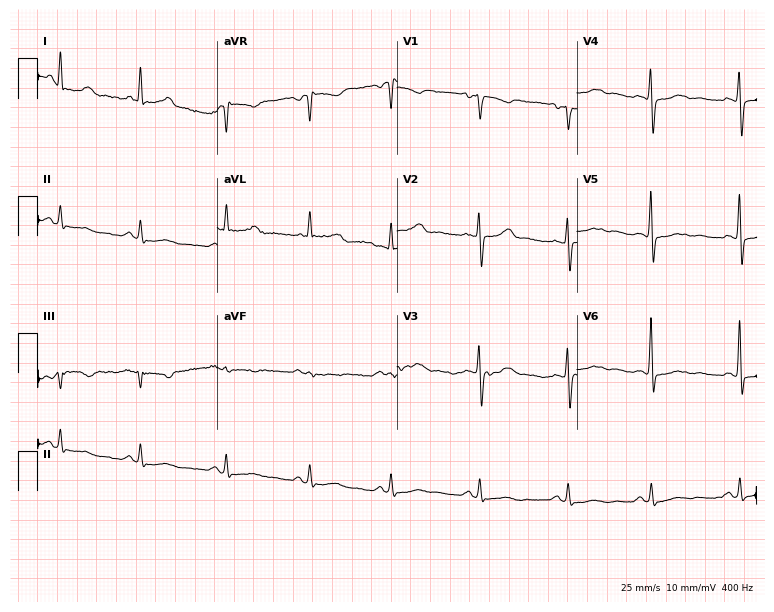
Resting 12-lead electrocardiogram. Patient: a female, 40 years old. None of these six findings is recorded: first-degree AV block, right bundle branch block, left bundle branch block, sinus bradycardia, atrial fibrillation, sinus tachycardia.